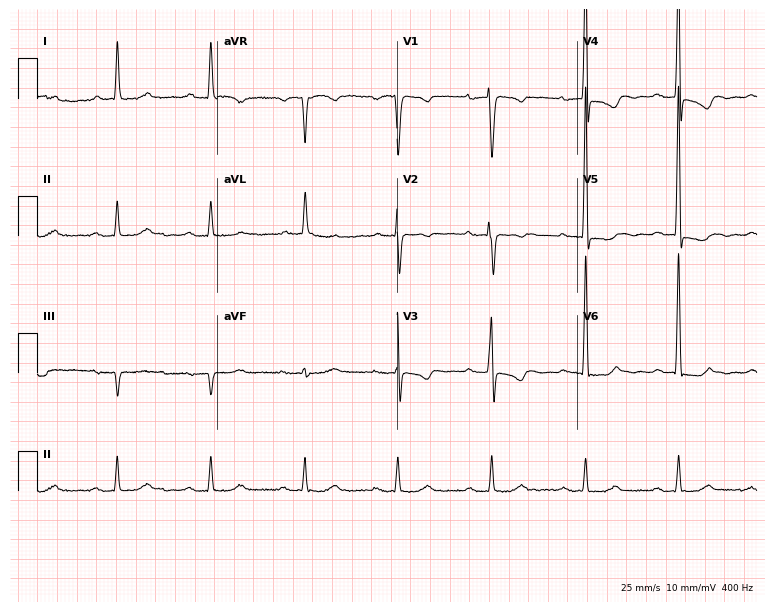
Resting 12-lead electrocardiogram. Patient: an 81-year-old female. The tracing shows first-degree AV block.